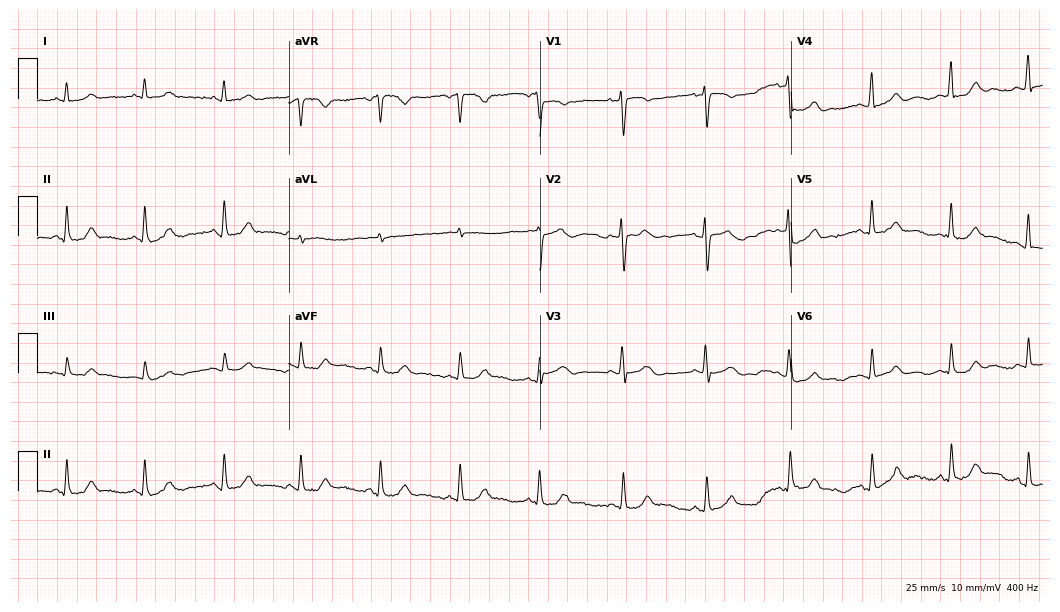
12-lead ECG from a woman, 34 years old. Labelled as a normal ECG.